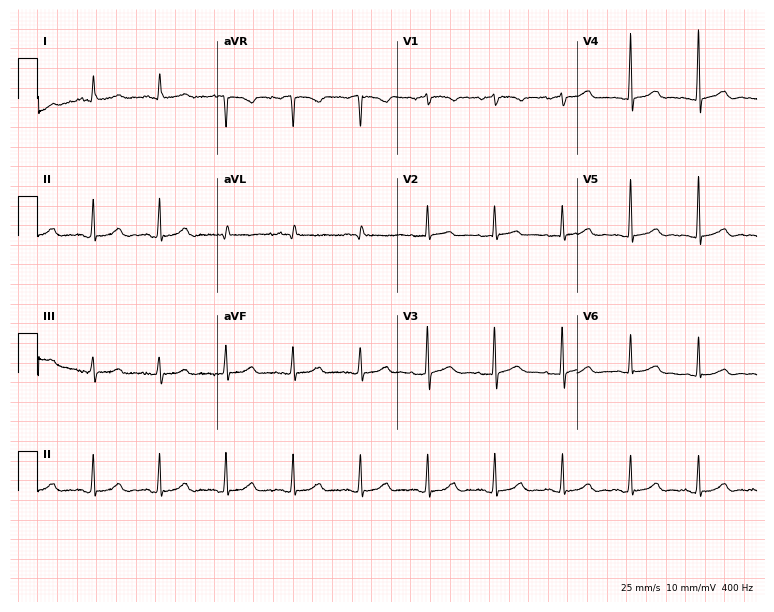
Standard 12-lead ECG recorded from an 83-year-old female (7.3-second recording at 400 Hz). Read as a normal ECG.